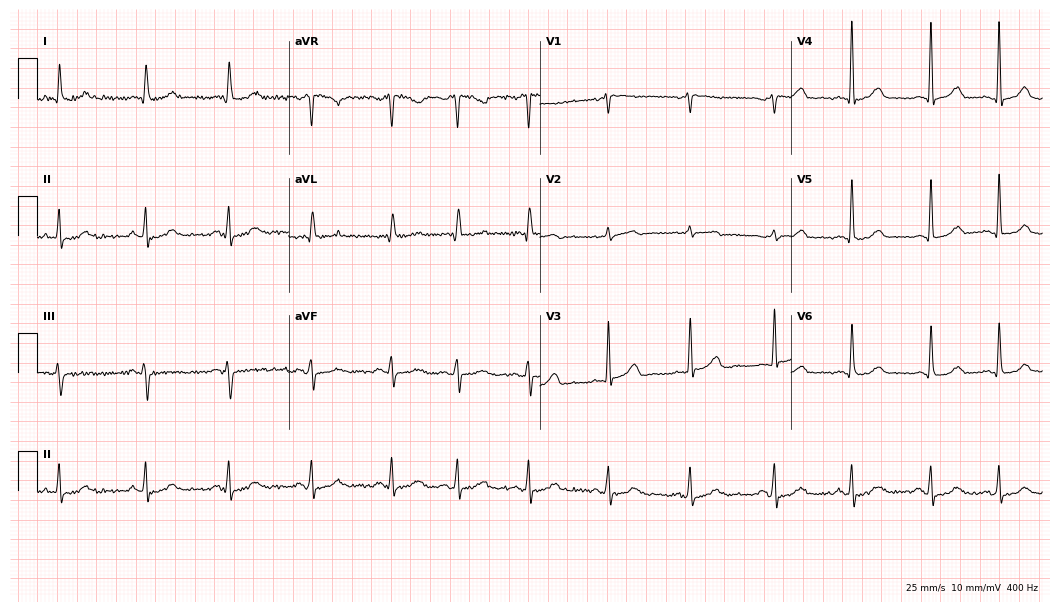
12-lead ECG (10.2-second recording at 400 Hz) from a 73-year-old female patient. Labelled as a normal ECG.